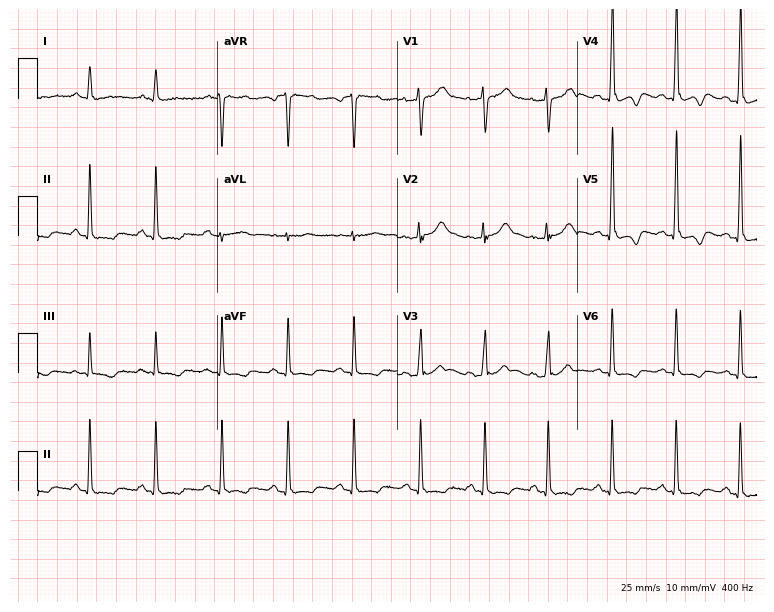
ECG (7.3-second recording at 400 Hz) — a man, 34 years old. Screened for six findings — first-degree AV block, right bundle branch block (RBBB), left bundle branch block (LBBB), sinus bradycardia, atrial fibrillation (AF), sinus tachycardia — none is recorded. Findings outside these six are not listed.